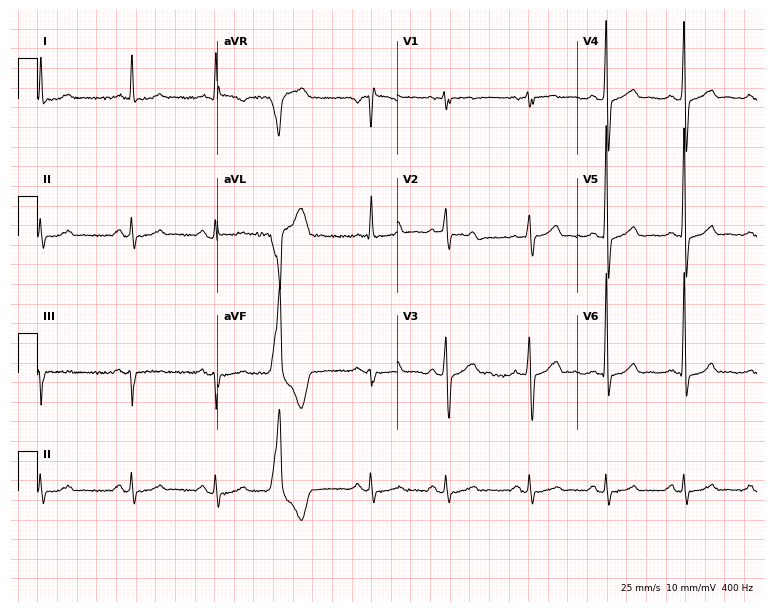
Standard 12-lead ECG recorded from a 67-year-old male patient. None of these six findings is recorded: first-degree AV block, right bundle branch block, left bundle branch block, sinus bradycardia, atrial fibrillation, sinus tachycardia.